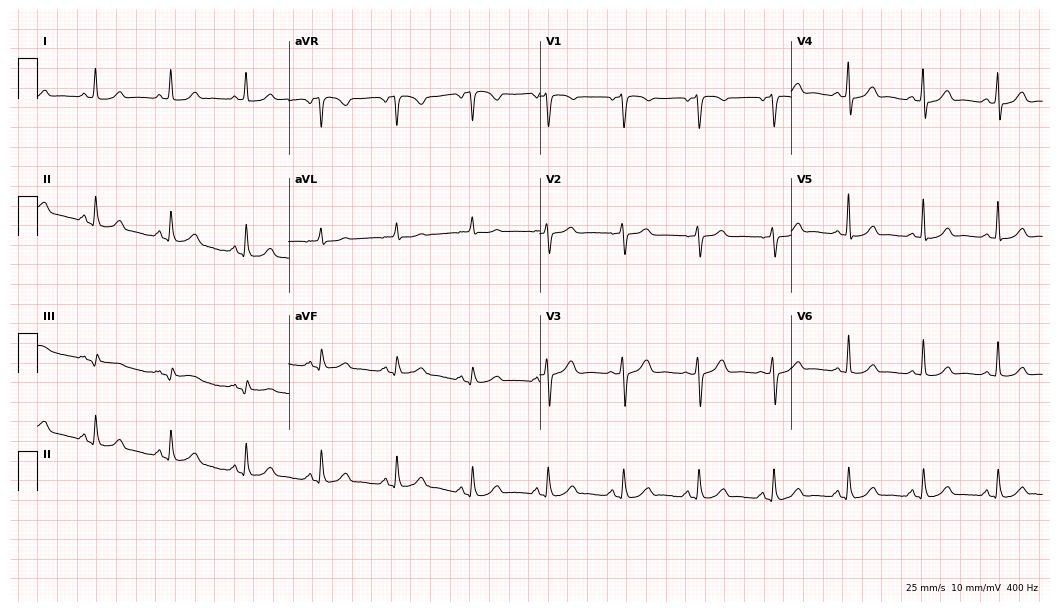
Standard 12-lead ECG recorded from a female patient, 68 years old. Read as a normal ECG.